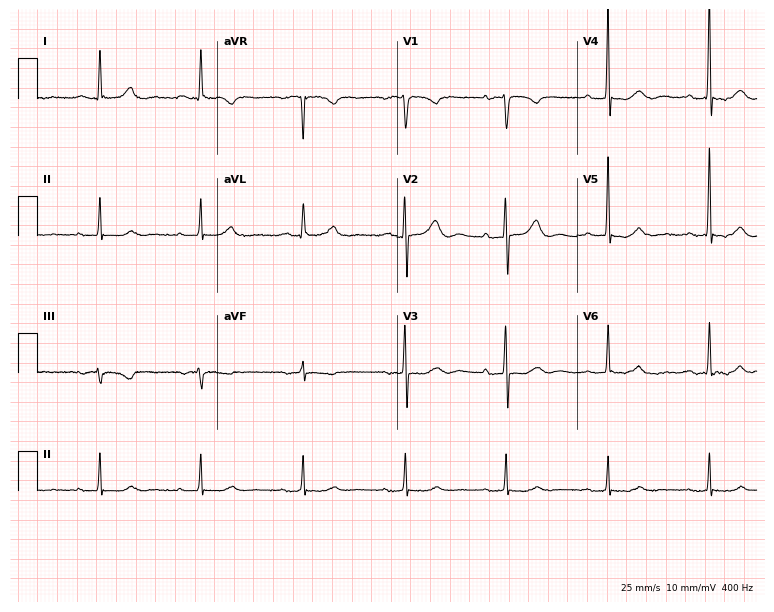
ECG (7.3-second recording at 400 Hz) — an 81-year-old male patient. Screened for six findings — first-degree AV block, right bundle branch block, left bundle branch block, sinus bradycardia, atrial fibrillation, sinus tachycardia — none is recorded.